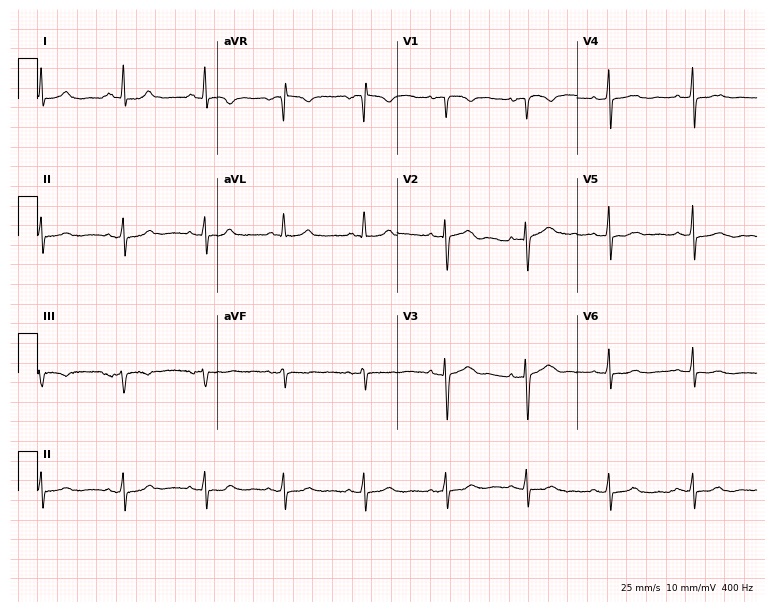
Standard 12-lead ECG recorded from a 48-year-old female (7.3-second recording at 400 Hz). Read as a normal ECG.